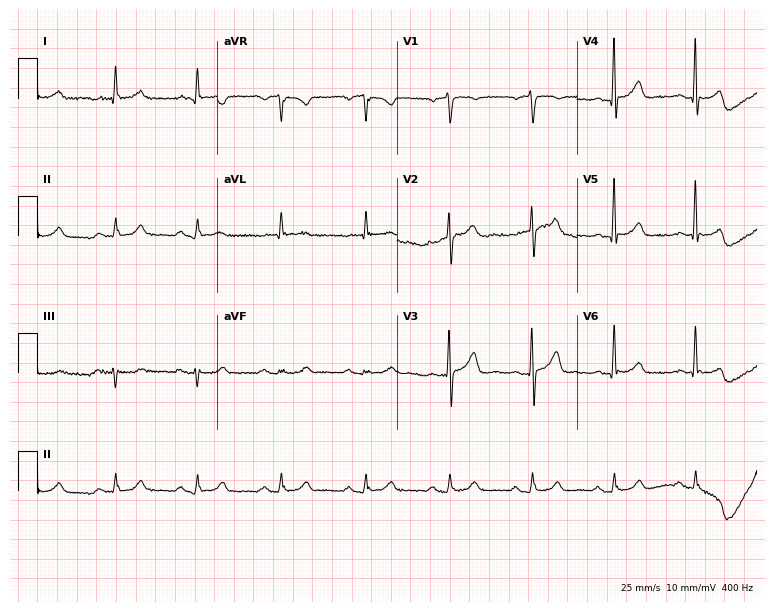
Electrocardiogram (7.3-second recording at 400 Hz), a 76-year-old male. Overall reading on record: normal ECG.